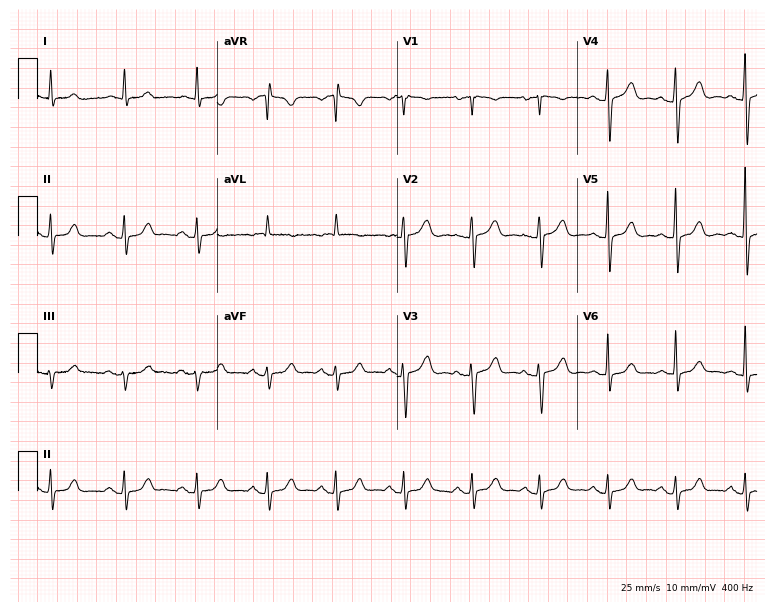
Resting 12-lead electrocardiogram. Patient: a 74-year-old female. Read as a normal ECG.